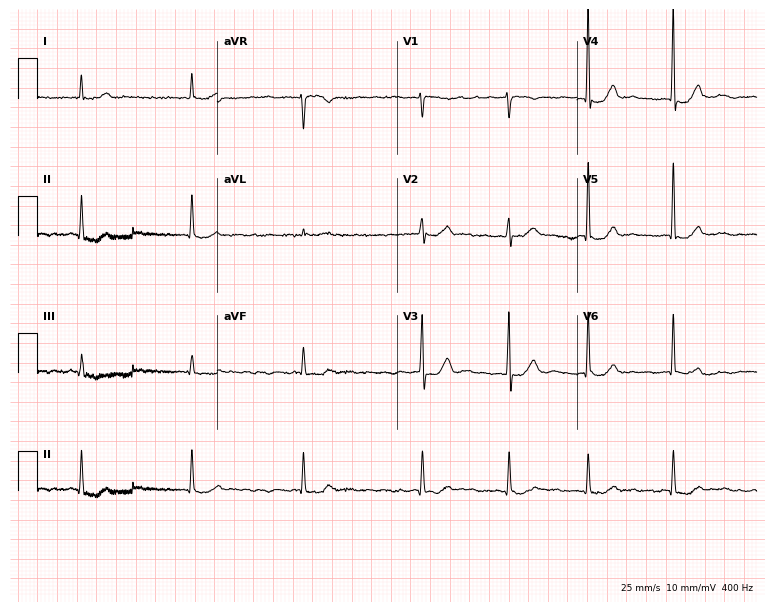
ECG — a 79-year-old female. Screened for six findings — first-degree AV block, right bundle branch block, left bundle branch block, sinus bradycardia, atrial fibrillation, sinus tachycardia — none is recorded. Only these six findings were labelled.